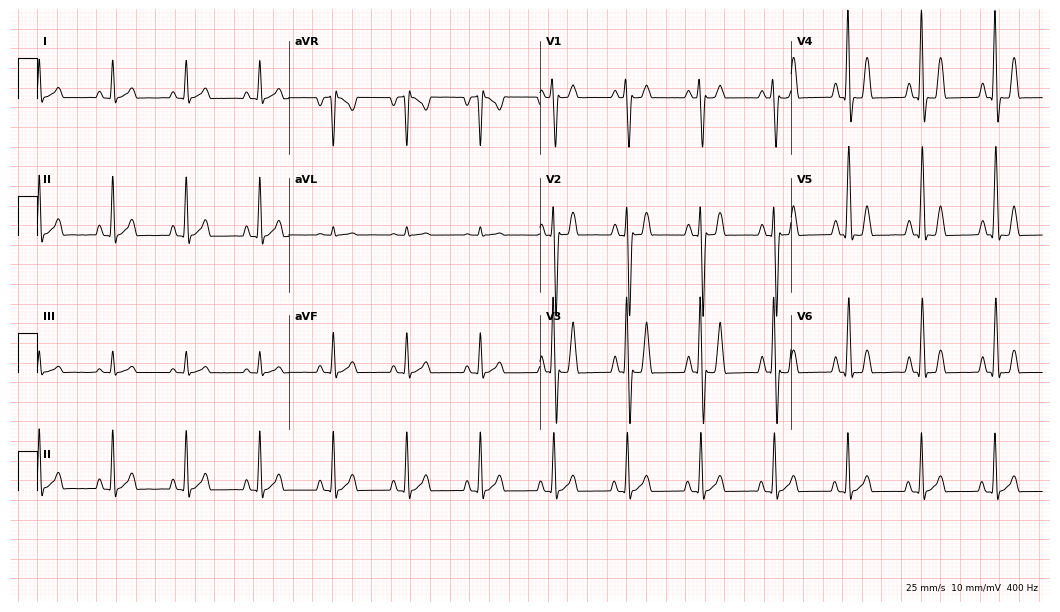
Resting 12-lead electrocardiogram (10.2-second recording at 400 Hz). Patient: a 50-year-old female. None of these six findings is recorded: first-degree AV block, right bundle branch block, left bundle branch block, sinus bradycardia, atrial fibrillation, sinus tachycardia.